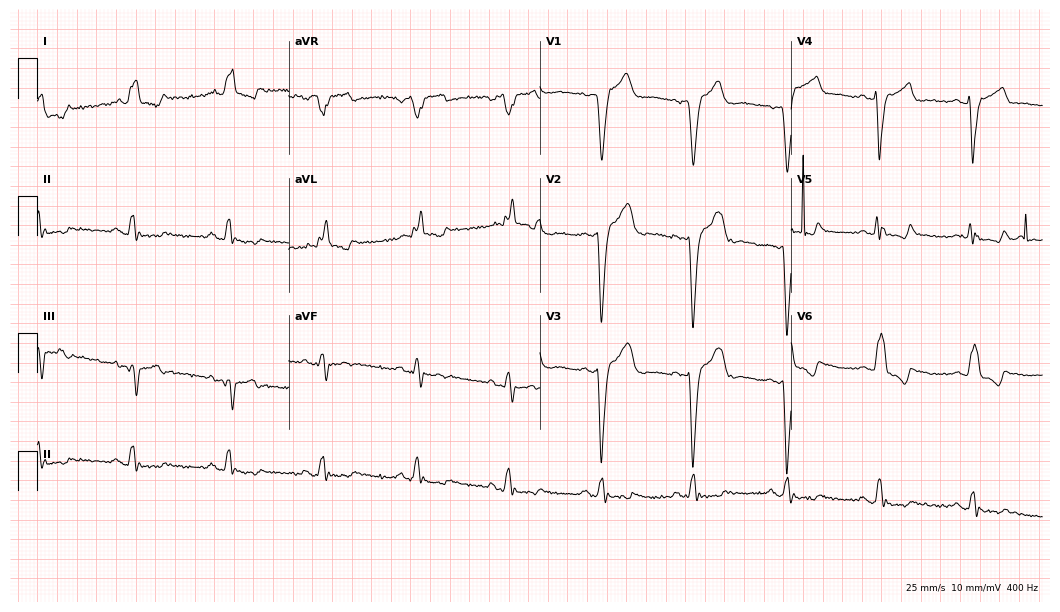
Resting 12-lead electrocardiogram (10.2-second recording at 400 Hz). Patient: a male, 70 years old. The tracing shows left bundle branch block.